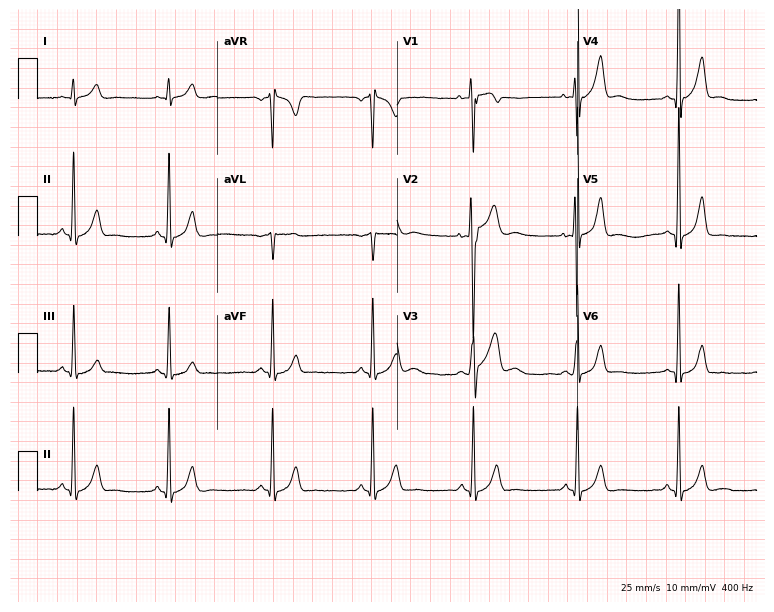
ECG (7.3-second recording at 400 Hz) — a male patient, 24 years old. Labelled as a normal ECG.